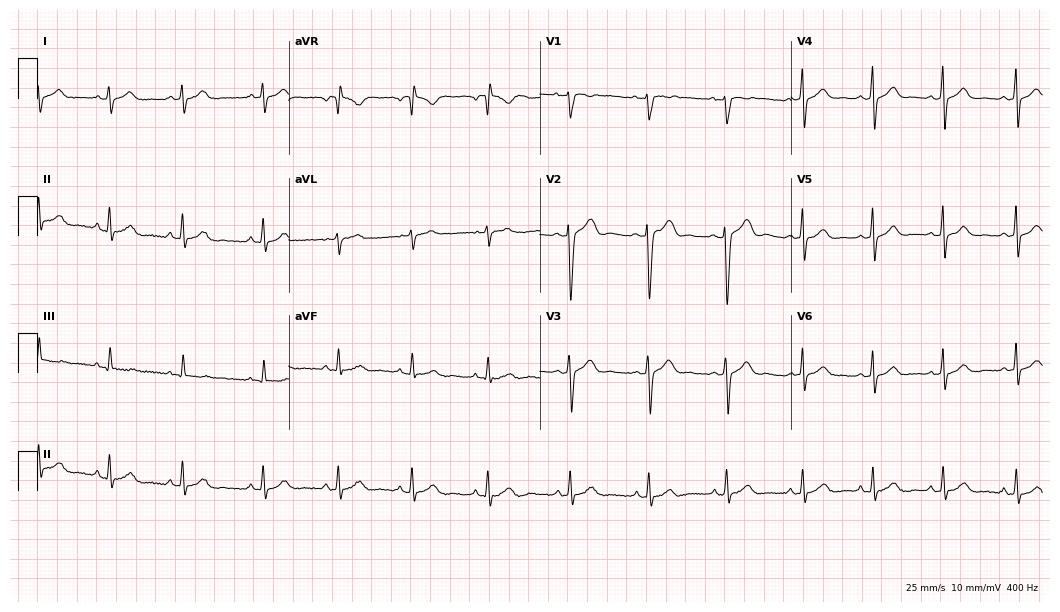
12-lead ECG from a 19-year-old female (10.2-second recording at 400 Hz). Recorded interpretation: within normal limits.